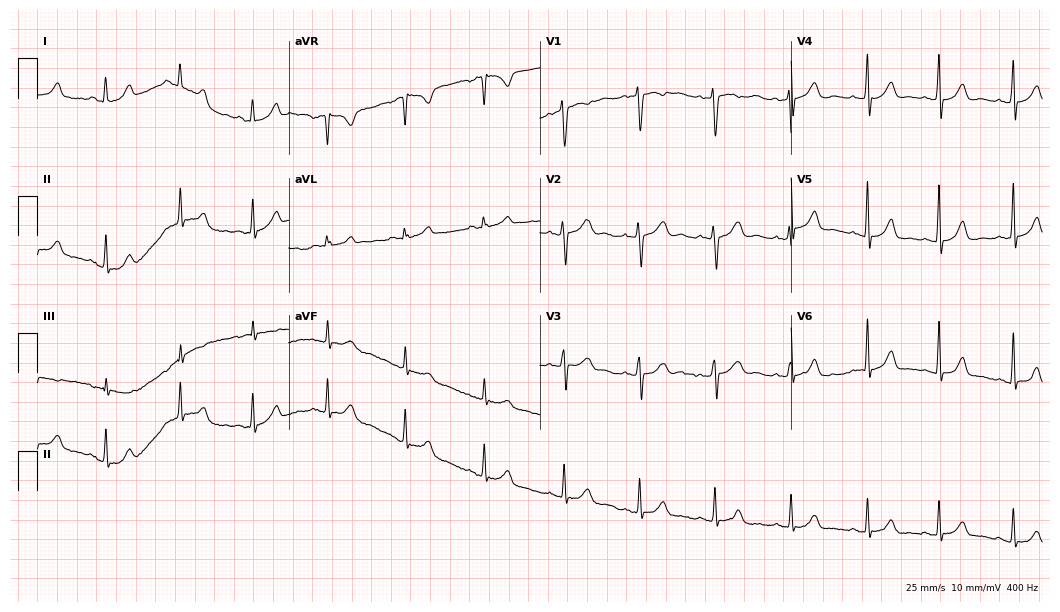
Electrocardiogram (10.2-second recording at 400 Hz), a 24-year-old female patient. Overall reading on record: normal ECG.